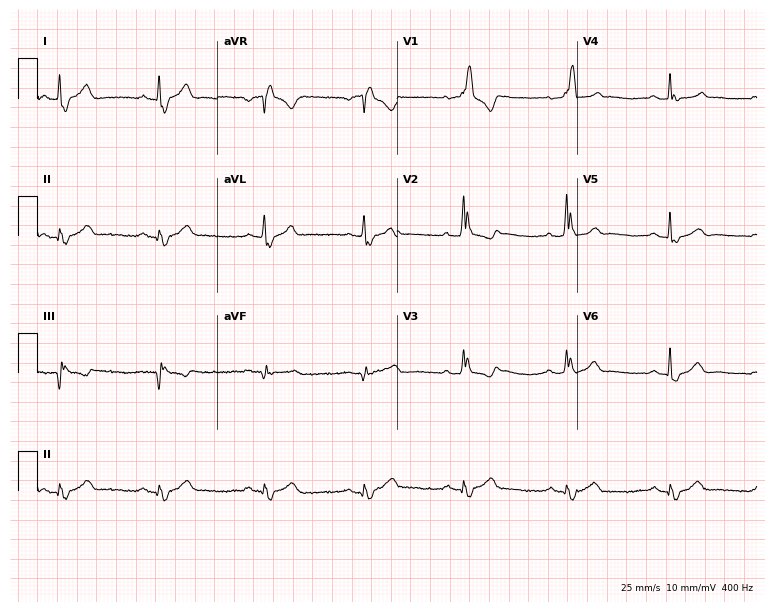
12-lead ECG (7.3-second recording at 400 Hz) from a man, 80 years old. Findings include right bundle branch block.